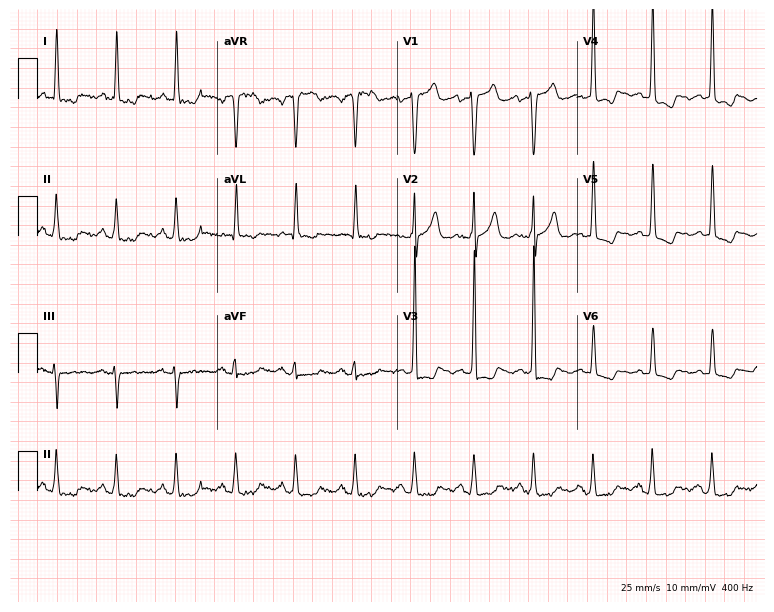
12-lead ECG from a female, 83 years old (7.3-second recording at 400 Hz). No first-degree AV block, right bundle branch block, left bundle branch block, sinus bradycardia, atrial fibrillation or sinus tachycardia recorded for this tracing. Other findings, if any, are not listed.